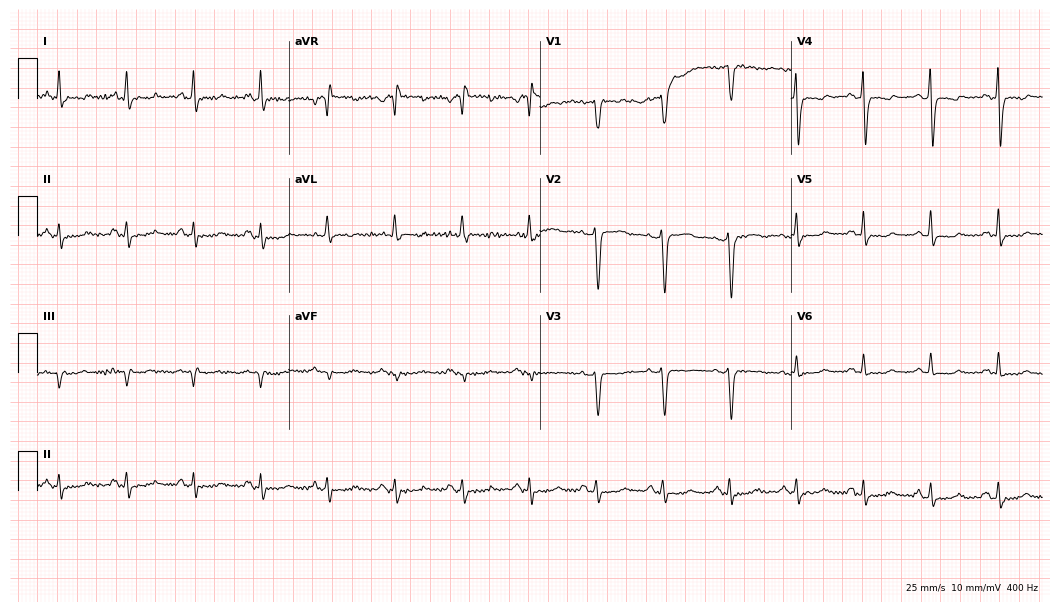
12-lead ECG from a 59-year-old female (10.2-second recording at 400 Hz). Recorded interpretation: within normal limits.